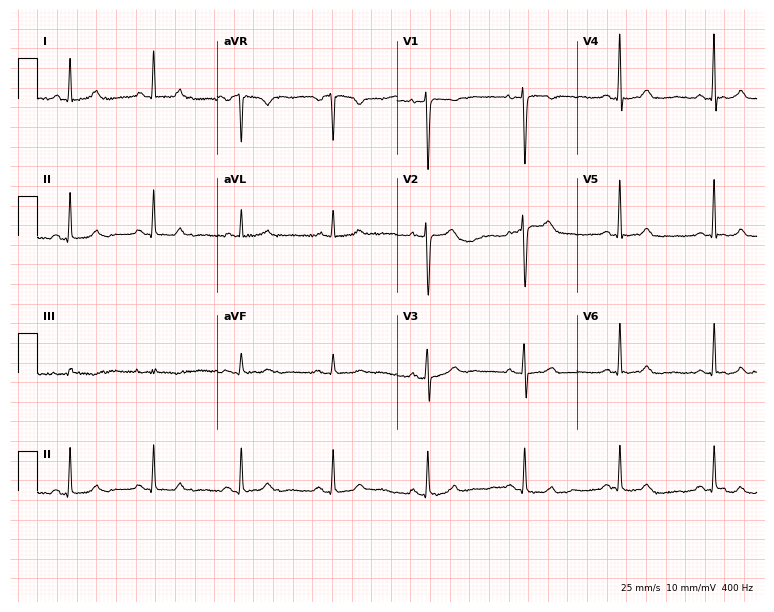
Electrocardiogram (7.3-second recording at 400 Hz), a 48-year-old woman. Overall reading on record: normal ECG.